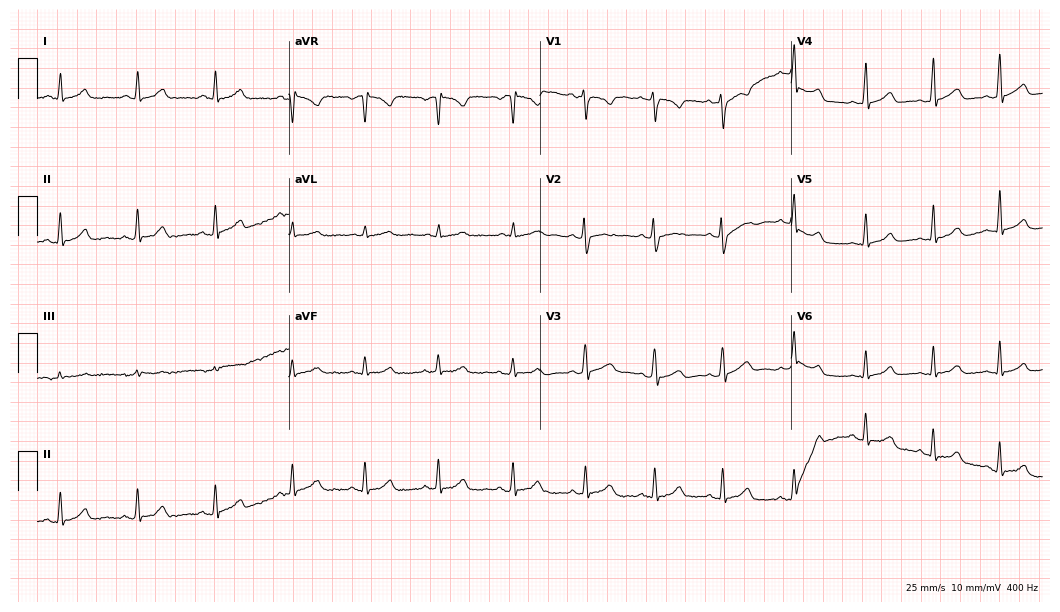
Electrocardiogram, a female patient, 23 years old. Of the six screened findings (first-degree AV block, right bundle branch block, left bundle branch block, sinus bradycardia, atrial fibrillation, sinus tachycardia), none is recorded. Other findings, if any, are not listed.